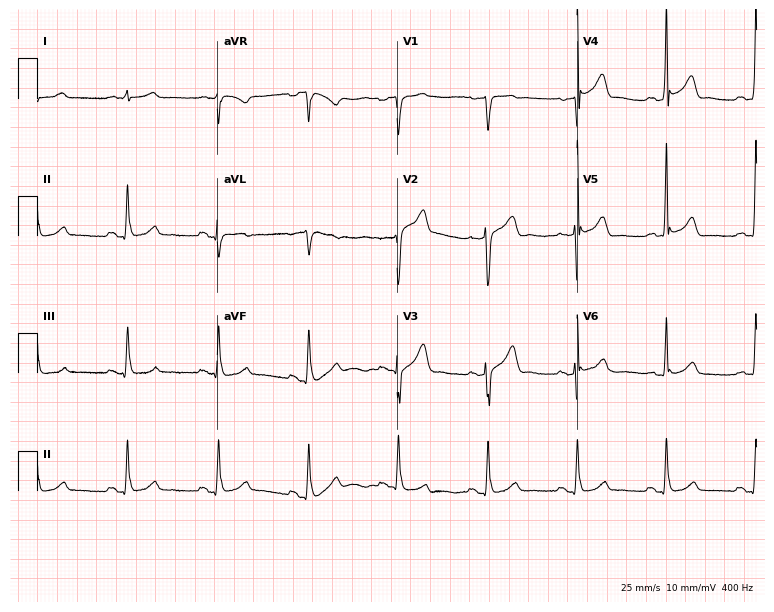
Resting 12-lead electrocardiogram (7.3-second recording at 400 Hz). Patient: a 75-year-old man. None of these six findings is recorded: first-degree AV block, right bundle branch block, left bundle branch block, sinus bradycardia, atrial fibrillation, sinus tachycardia. Only these six findings were labelled.